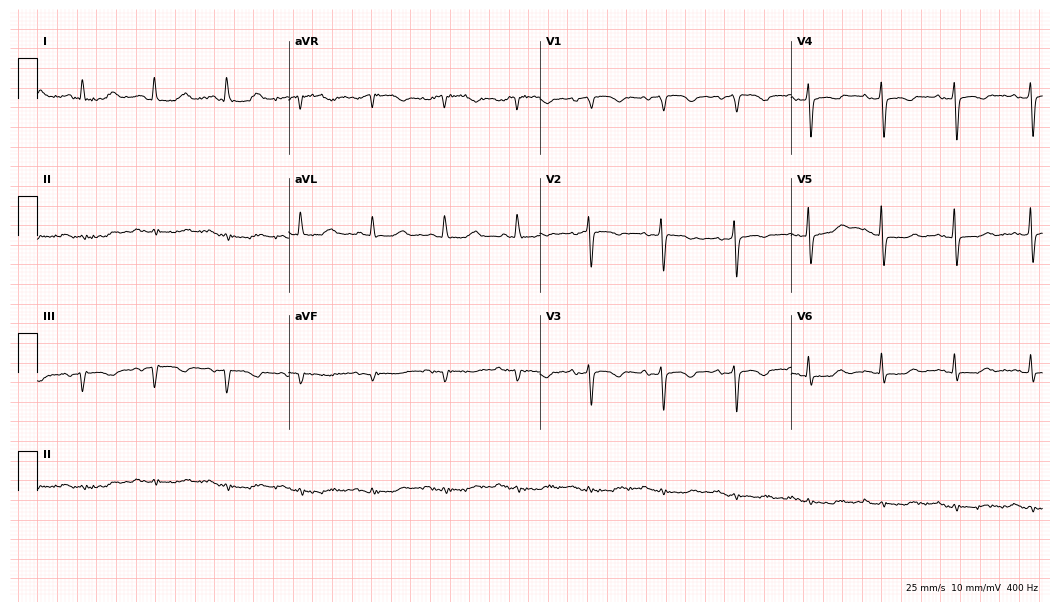
Standard 12-lead ECG recorded from an 80-year-old woman. None of these six findings is recorded: first-degree AV block, right bundle branch block, left bundle branch block, sinus bradycardia, atrial fibrillation, sinus tachycardia. Only these six findings were labelled.